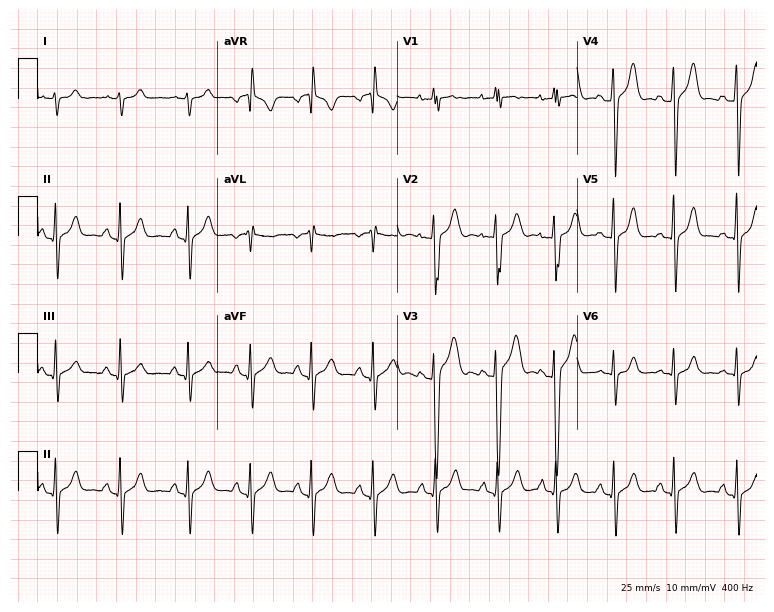
Resting 12-lead electrocardiogram. Patient: a 17-year-old male. None of these six findings is recorded: first-degree AV block, right bundle branch block (RBBB), left bundle branch block (LBBB), sinus bradycardia, atrial fibrillation (AF), sinus tachycardia. Only these six findings were labelled.